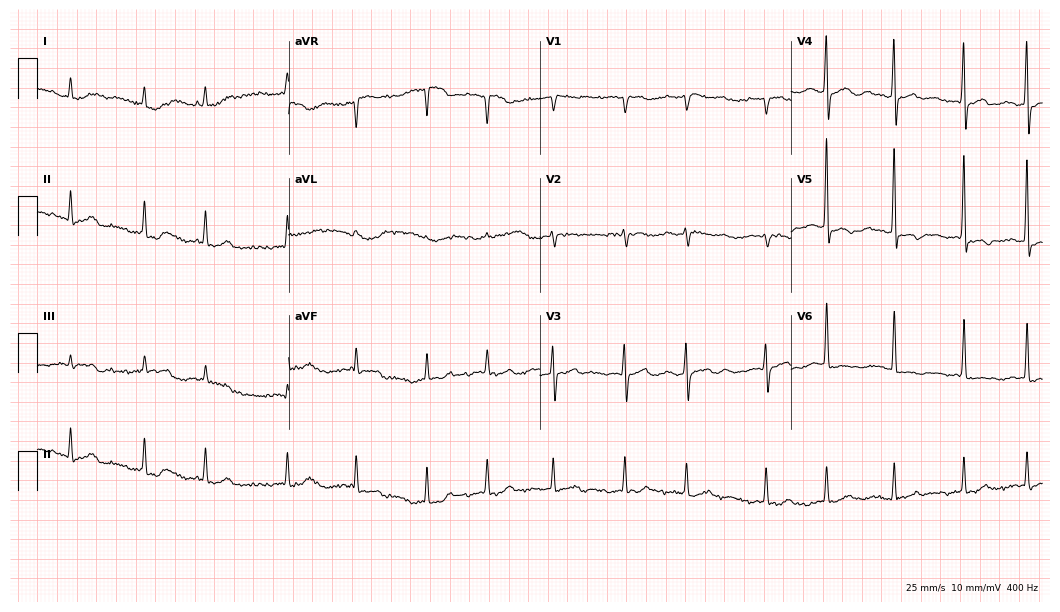
Resting 12-lead electrocardiogram (10.2-second recording at 400 Hz). Patient: a 78-year-old female. None of these six findings is recorded: first-degree AV block, right bundle branch block, left bundle branch block, sinus bradycardia, atrial fibrillation, sinus tachycardia. Findings outside these six are not listed.